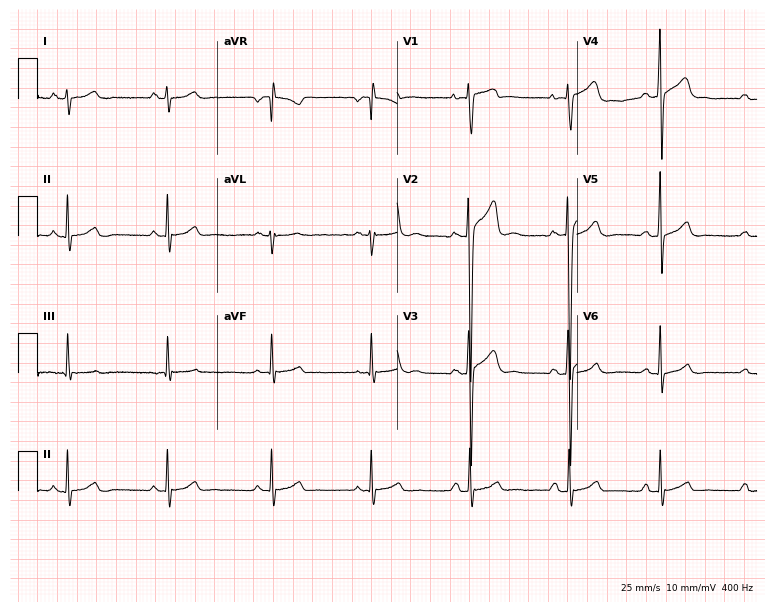
Electrocardiogram, a 25-year-old male patient. Overall reading on record: normal ECG.